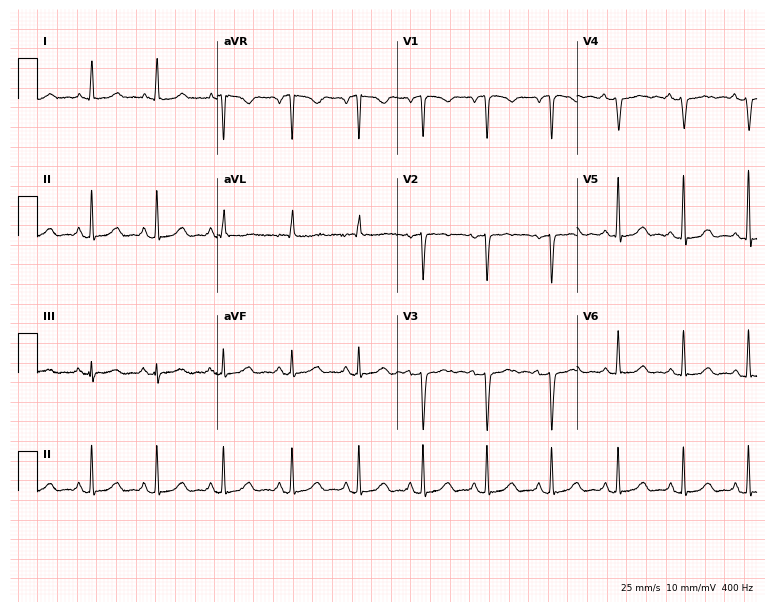
12-lead ECG from a 58-year-old female. Recorded interpretation: within normal limits.